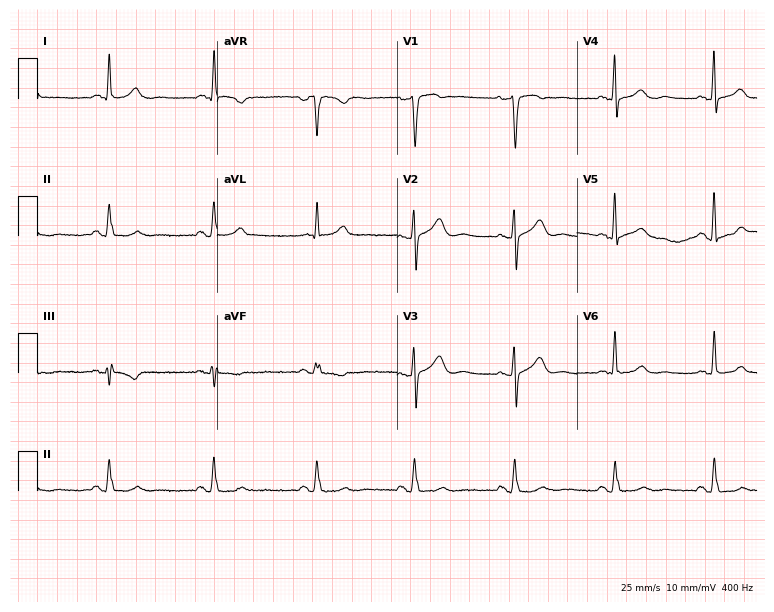
12-lead ECG (7.3-second recording at 400 Hz) from a male, 50 years old. Screened for six findings — first-degree AV block, right bundle branch block, left bundle branch block, sinus bradycardia, atrial fibrillation, sinus tachycardia — none is recorded.